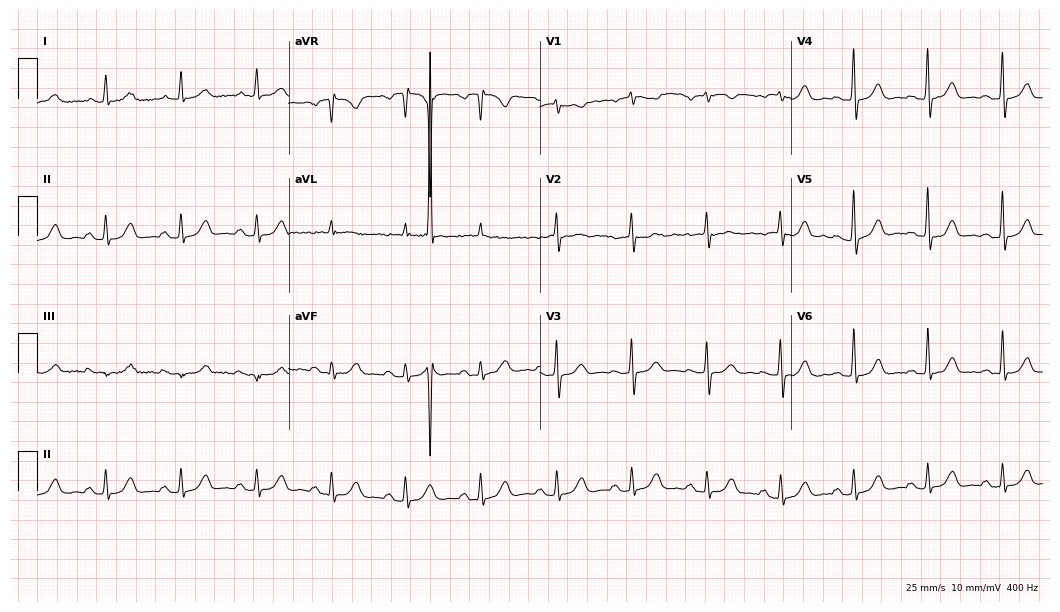
ECG (10.2-second recording at 400 Hz) — a 71-year-old woman. Labelled as a normal ECG.